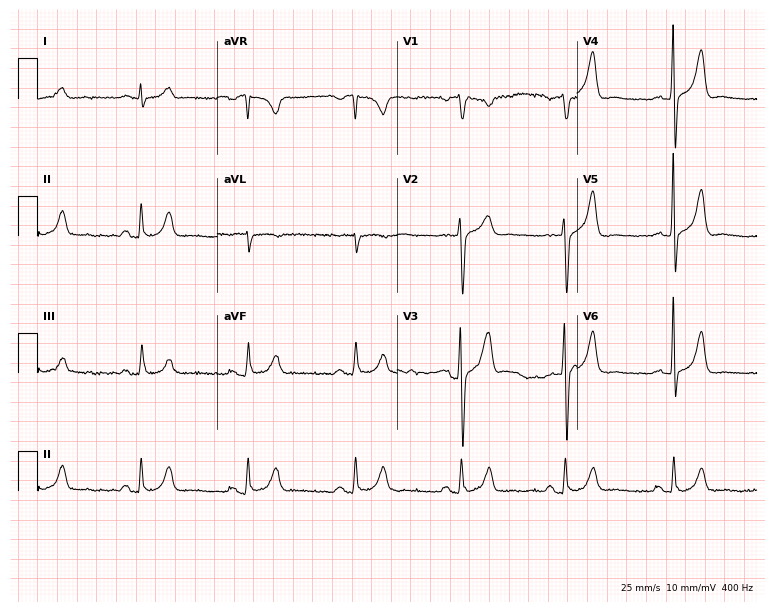
Electrocardiogram (7.3-second recording at 400 Hz), a male, 46 years old. Overall reading on record: normal ECG.